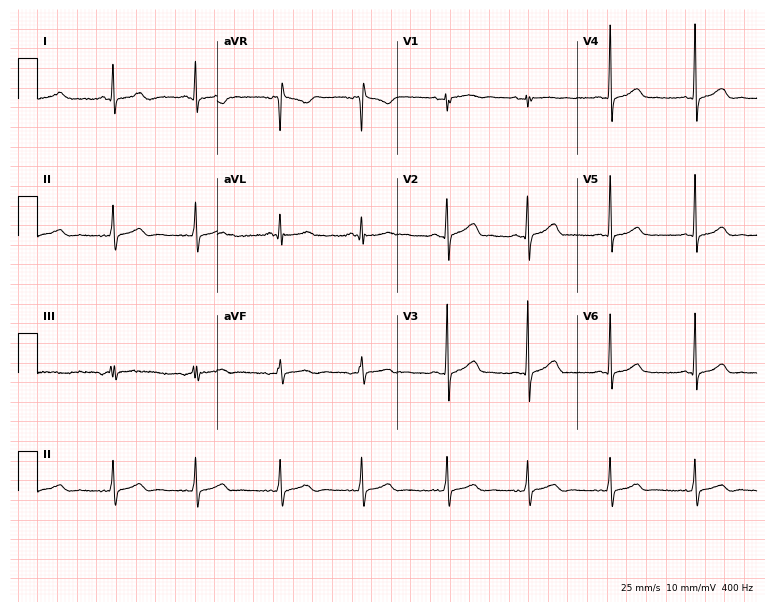
Standard 12-lead ECG recorded from a woman, 26 years old (7.3-second recording at 400 Hz). None of these six findings is recorded: first-degree AV block, right bundle branch block (RBBB), left bundle branch block (LBBB), sinus bradycardia, atrial fibrillation (AF), sinus tachycardia. Other findings, if any, are not listed.